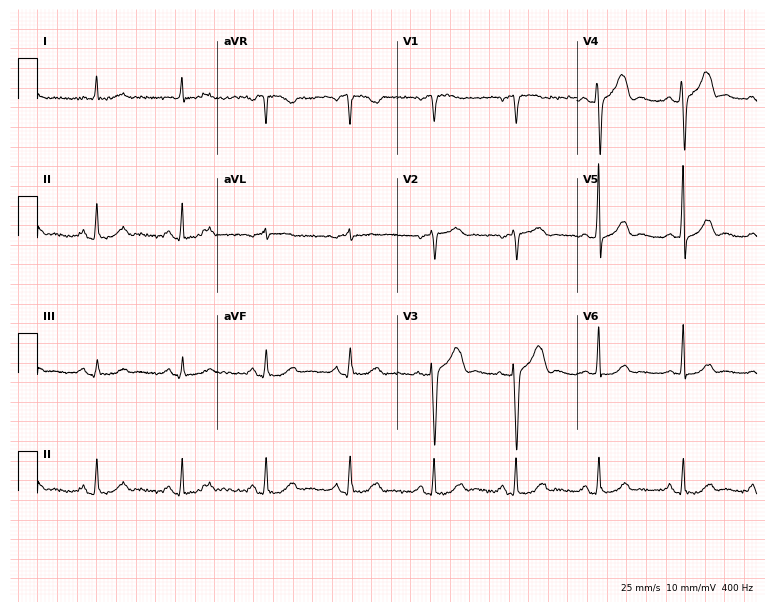
ECG (7.3-second recording at 400 Hz) — a female patient, 81 years old. Labelled as a normal ECG.